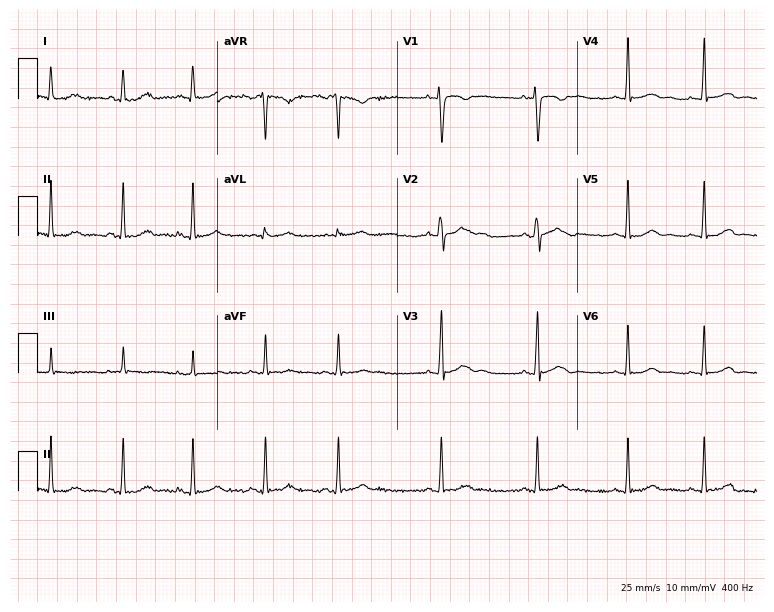
ECG (7.3-second recording at 400 Hz) — a female patient, 22 years old. Labelled as a normal ECG.